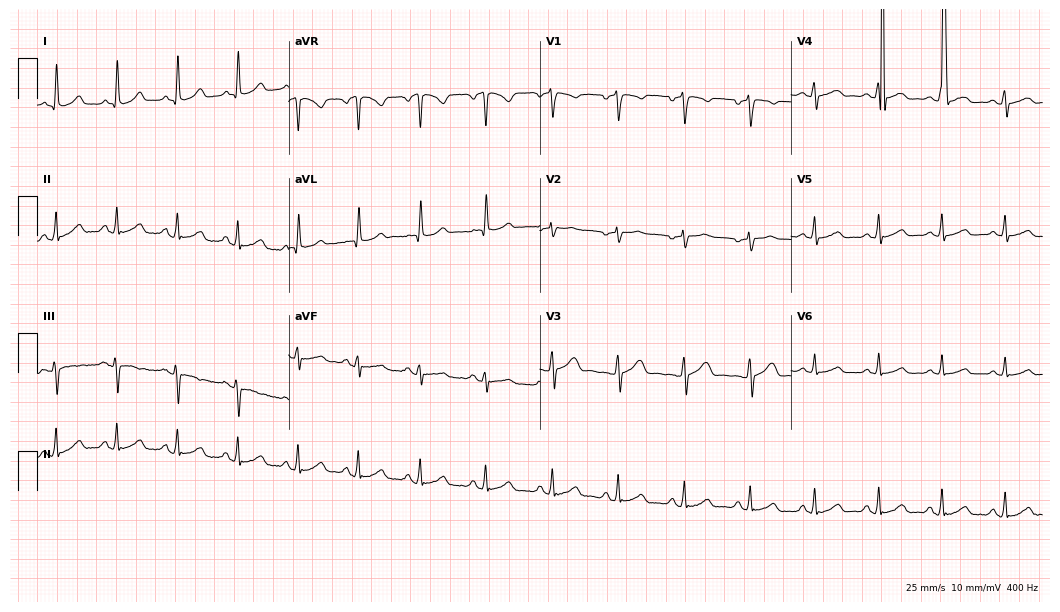
Electrocardiogram (10.2-second recording at 400 Hz), a woman, 34 years old. Overall reading on record: normal ECG.